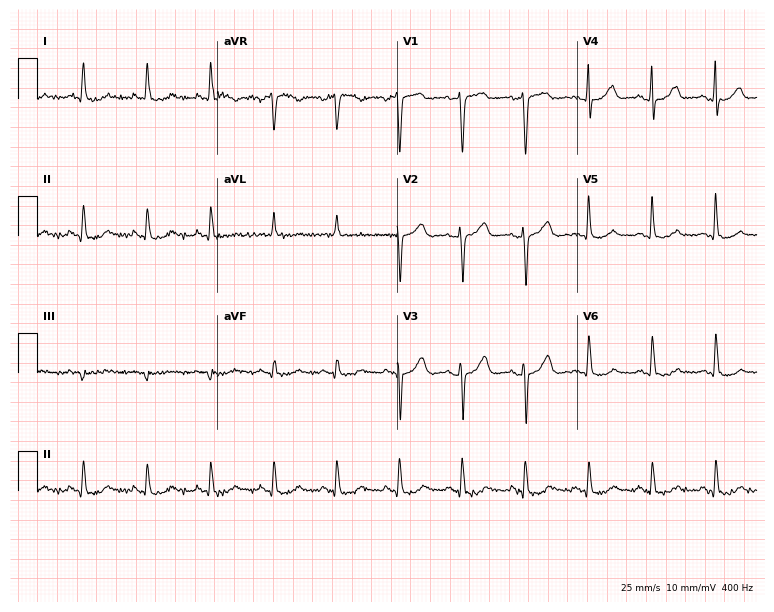
12-lead ECG from an 80-year-old woman (7.3-second recording at 400 Hz). Recorded interpretation: within normal limits.